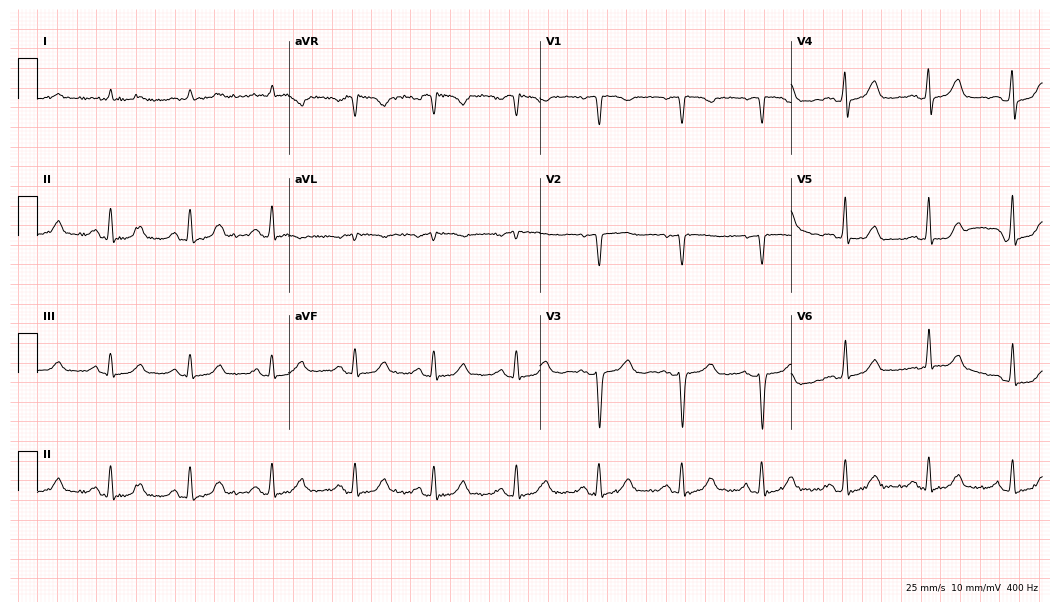
Resting 12-lead electrocardiogram (10.2-second recording at 400 Hz). Patient: a female, 77 years old. None of these six findings is recorded: first-degree AV block, right bundle branch block (RBBB), left bundle branch block (LBBB), sinus bradycardia, atrial fibrillation (AF), sinus tachycardia. Other findings, if any, are not listed.